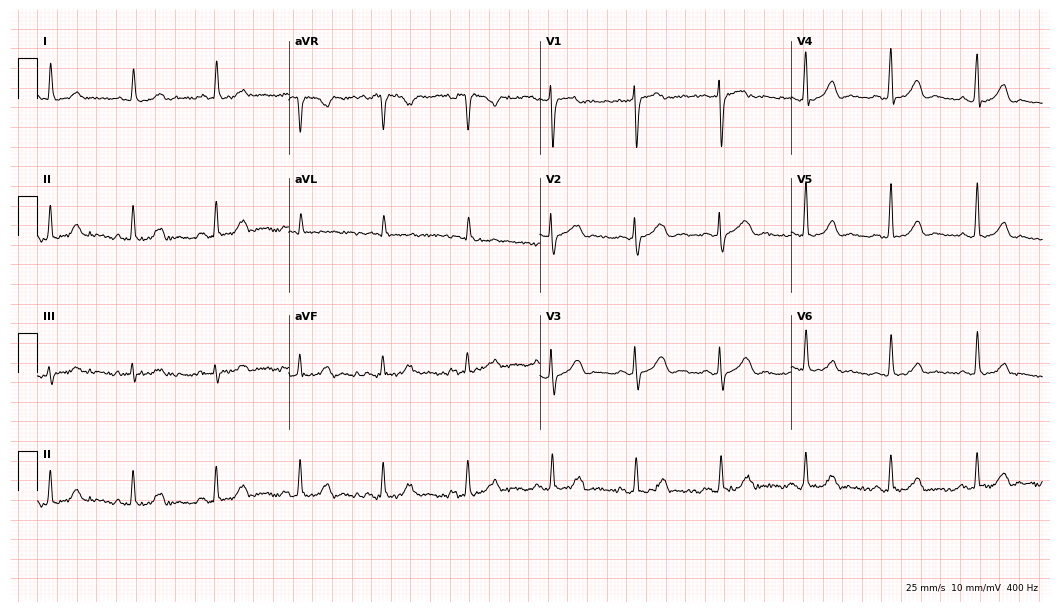
Resting 12-lead electrocardiogram. Patient: a 66-year-old woman. None of these six findings is recorded: first-degree AV block, right bundle branch block, left bundle branch block, sinus bradycardia, atrial fibrillation, sinus tachycardia. Findings outside these six are not listed.